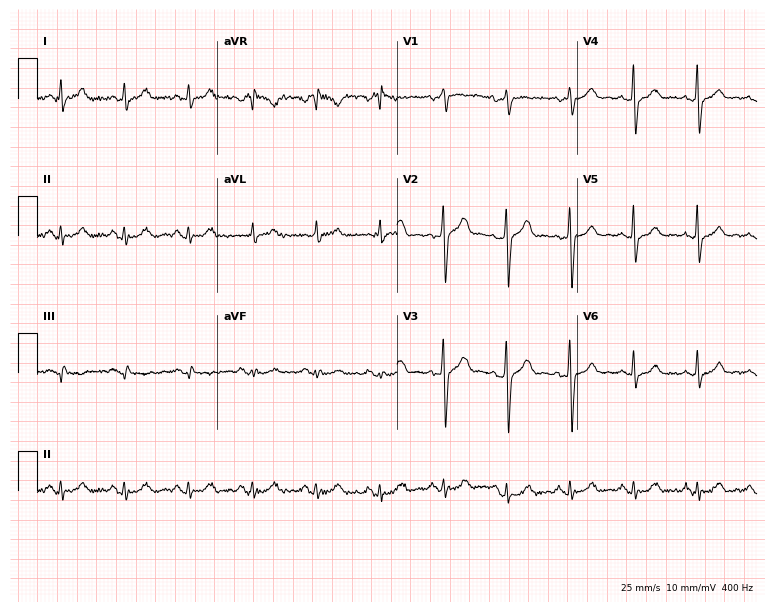
Standard 12-lead ECG recorded from a woman, 54 years old (7.3-second recording at 400 Hz). Read as a normal ECG.